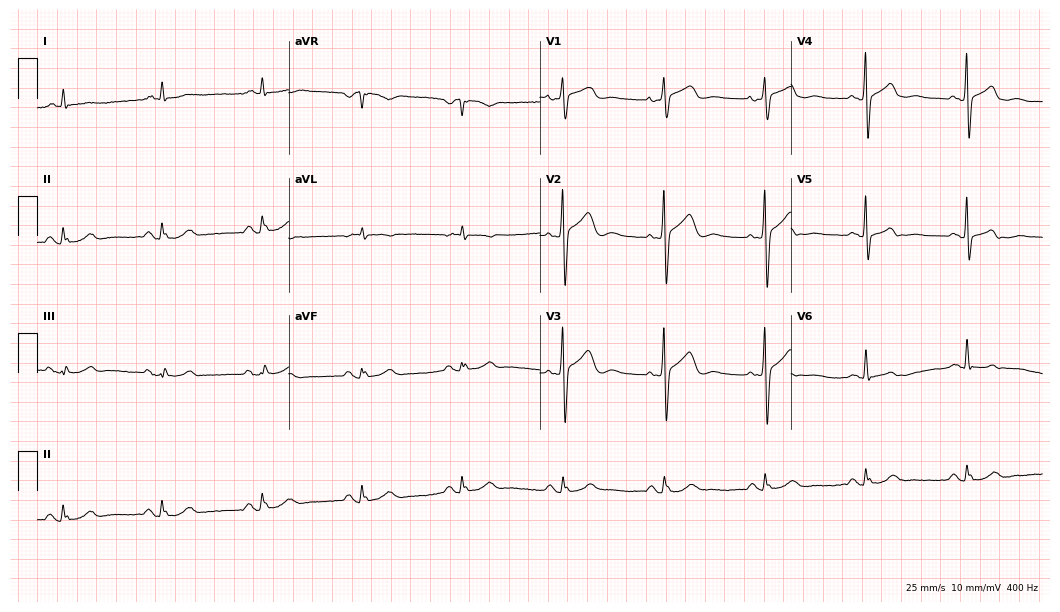
12-lead ECG from a male, 75 years old. Screened for six findings — first-degree AV block, right bundle branch block, left bundle branch block, sinus bradycardia, atrial fibrillation, sinus tachycardia — none is recorded. Findings outside these six are not listed.